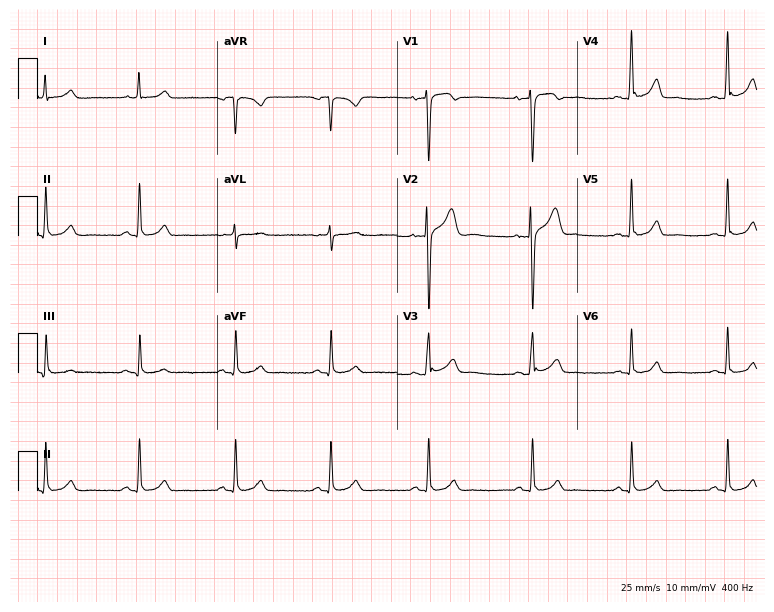
12-lead ECG from a male, 23 years old (7.3-second recording at 400 Hz). Recorded interpretation: within normal limits.